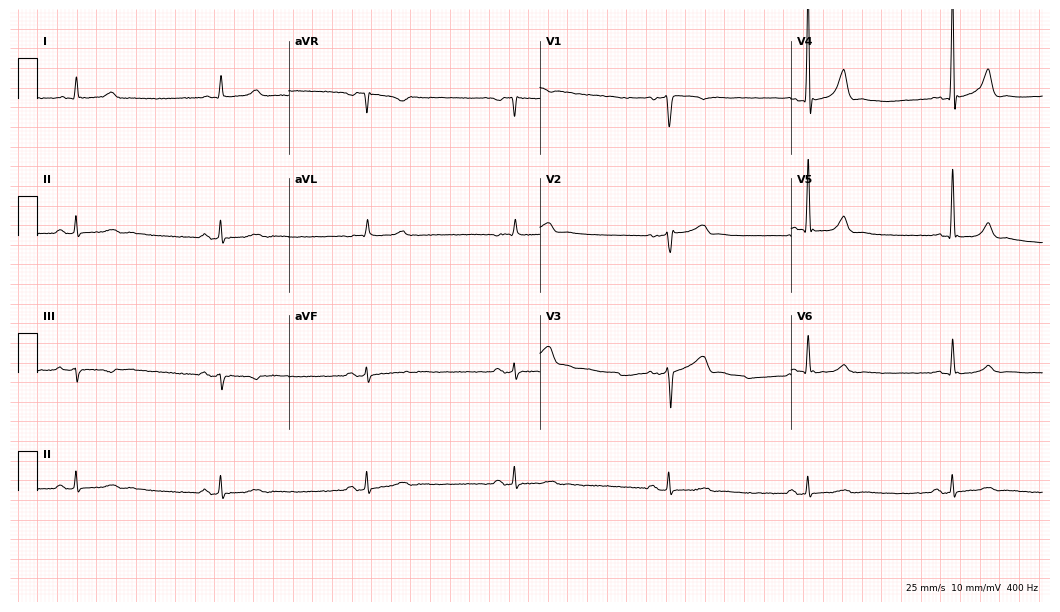
Resting 12-lead electrocardiogram (10.2-second recording at 400 Hz). Patient: a 50-year-old male. None of these six findings is recorded: first-degree AV block, right bundle branch block, left bundle branch block, sinus bradycardia, atrial fibrillation, sinus tachycardia.